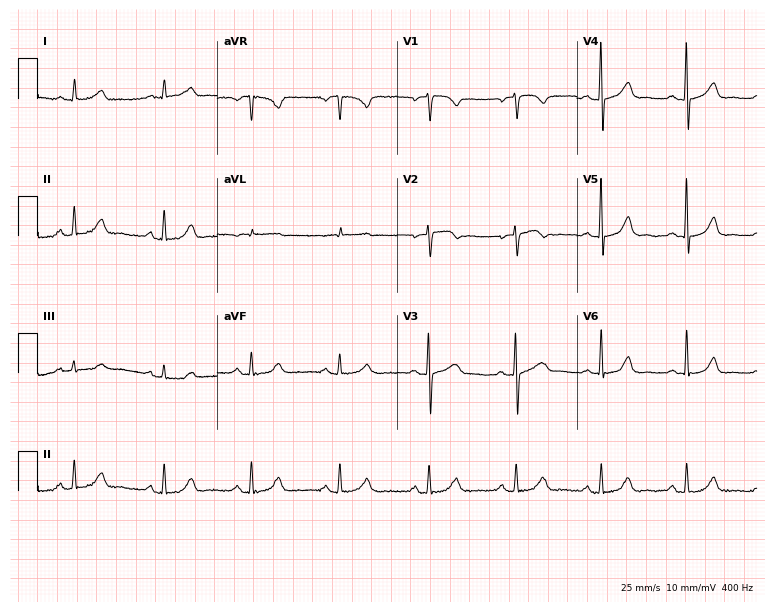
ECG (7.3-second recording at 400 Hz) — a woman, 62 years old. Screened for six findings — first-degree AV block, right bundle branch block, left bundle branch block, sinus bradycardia, atrial fibrillation, sinus tachycardia — none is recorded.